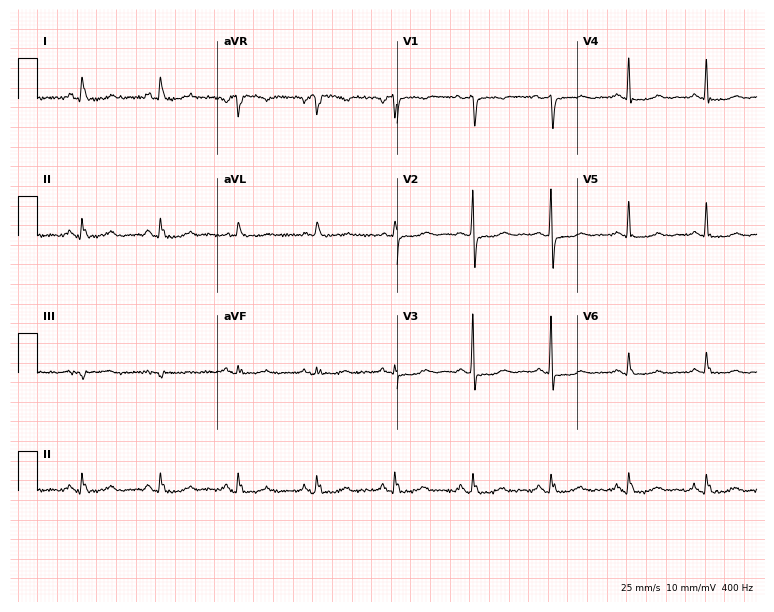
12-lead ECG from a 77-year-old female patient (7.3-second recording at 400 Hz). No first-degree AV block, right bundle branch block (RBBB), left bundle branch block (LBBB), sinus bradycardia, atrial fibrillation (AF) or sinus tachycardia recorded for this tracing. Only these six findings were labelled.